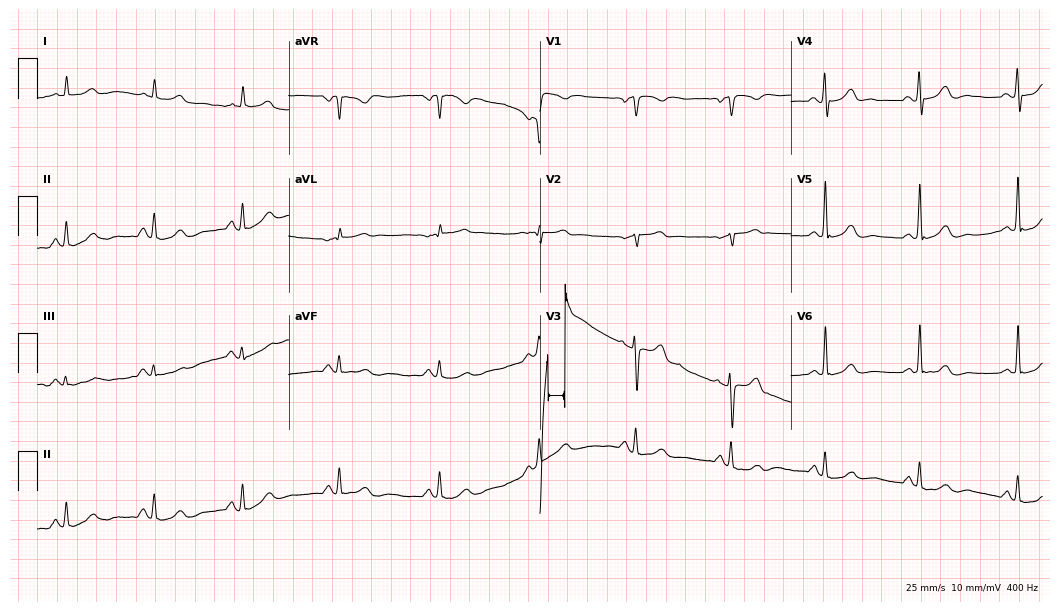
Standard 12-lead ECG recorded from a 53-year-old man (10.2-second recording at 400 Hz). None of these six findings is recorded: first-degree AV block, right bundle branch block, left bundle branch block, sinus bradycardia, atrial fibrillation, sinus tachycardia.